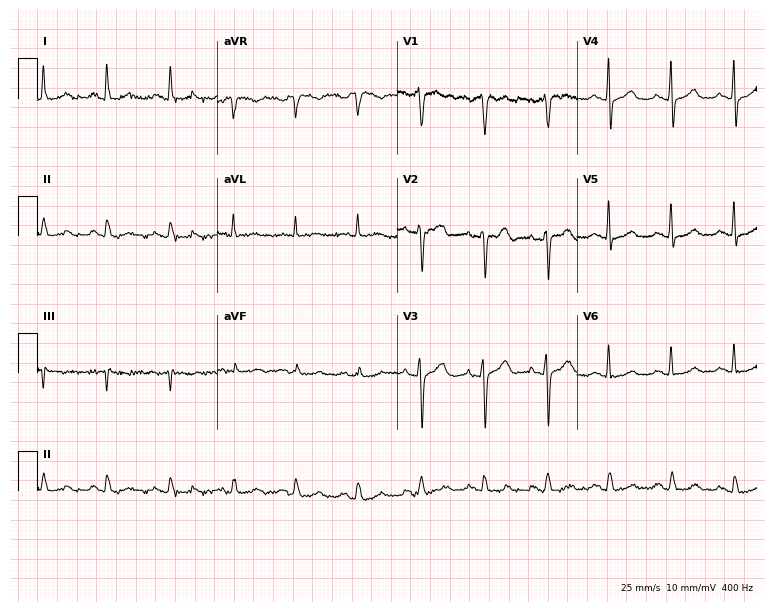
Electrocardiogram, a 53-year-old female patient. Overall reading on record: normal ECG.